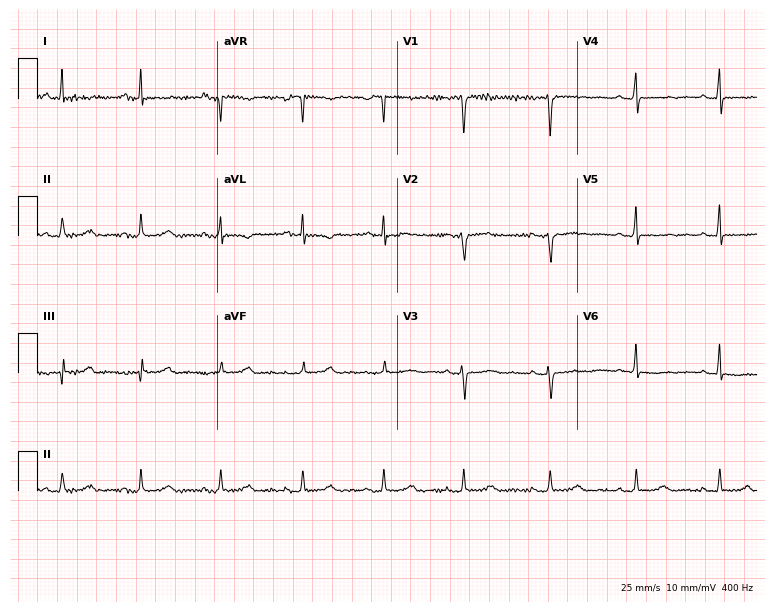
ECG — a 42-year-old female. Screened for six findings — first-degree AV block, right bundle branch block (RBBB), left bundle branch block (LBBB), sinus bradycardia, atrial fibrillation (AF), sinus tachycardia — none is recorded.